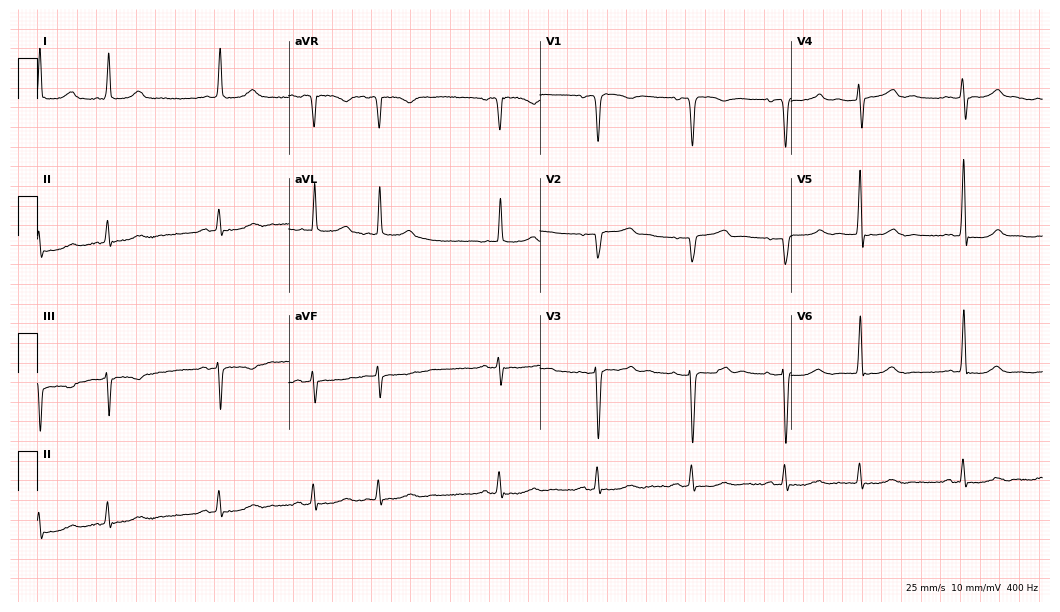
Electrocardiogram (10.2-second recording at 400 Hz), a male, 75 years old. Of the six screened findings (first-degree AV block, right bundle branch block (RBBB), left bundle branch block (LBBB), sinus bradycardia, atrial fibrillation (AF), sinus tachycardia), none is recorded. Other findings, if any, are not listed.